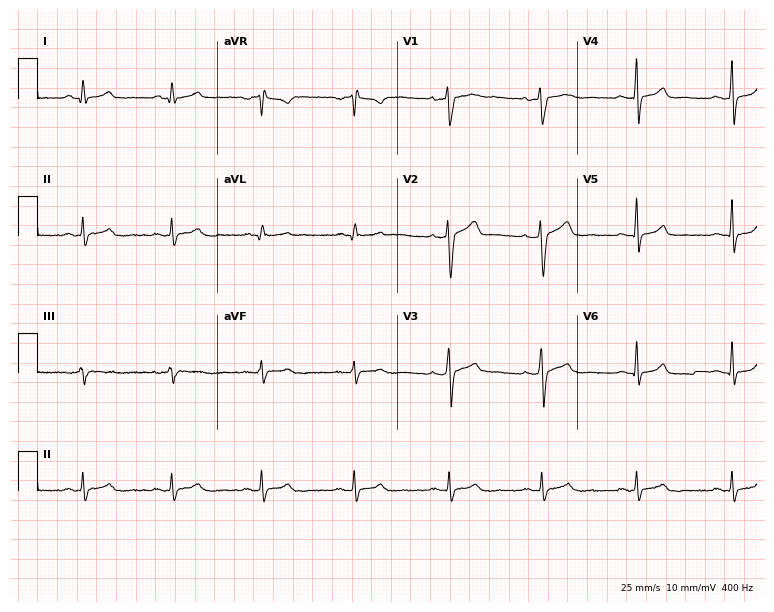
Electrocardiogram (7.3-second recording at 400 Hz), a female patient, 30 years old. Of the six screened findings (first-degree AV block, right bundle branch block, left bundle branch block, sinus bradycardia, atrial fibrillation, sinus tachycardia), none is recorded. Findings outside these six are not listed.